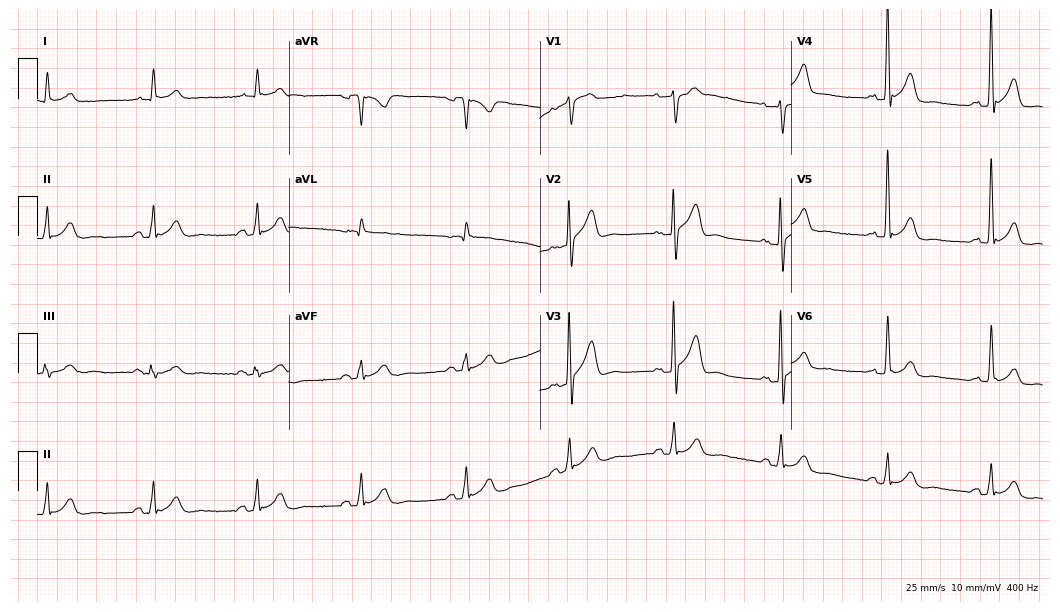
12-lead ECG (10.2-second recording at 400 Hz) from a man, 74 years old. Labelled as a normal ECG.